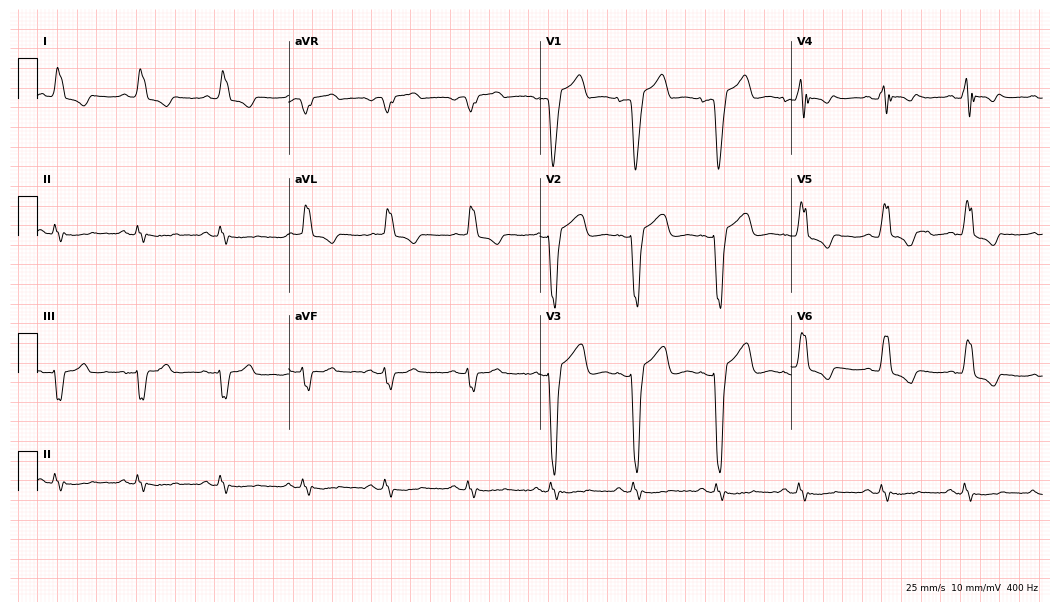
12-lead ECG from a 56-year-old male. No first-degree AV block, right bundle branch block, left bundle branch block, sinus bradycardia, atrial fibrillation or sinus tachycardia recorded for this tracing.